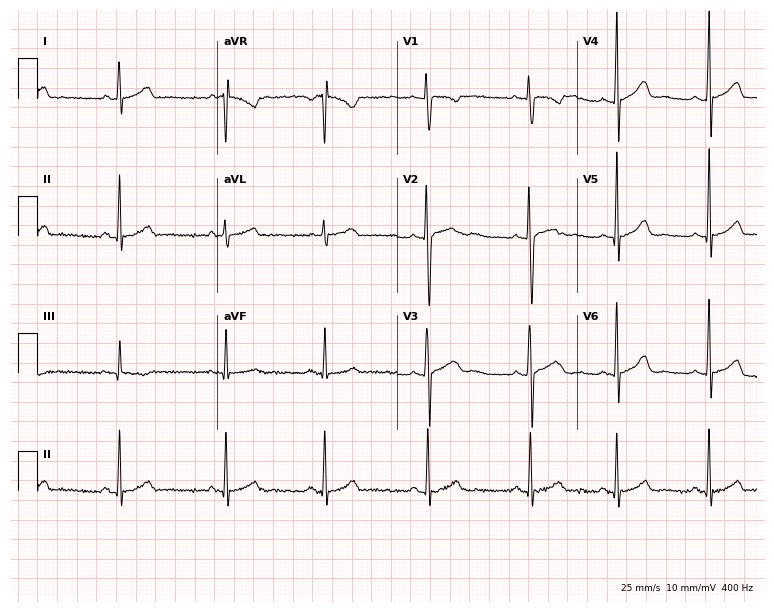
Standard 12-lead ECG recorded from a female patient, 17 years old. None of these six findings is recorded: first-degree AV block, right bundle branch block, left bundle branch block, sinus bradycardia, atrial fibrillation, sinus tachycardia. Findings outside these six are not listed.